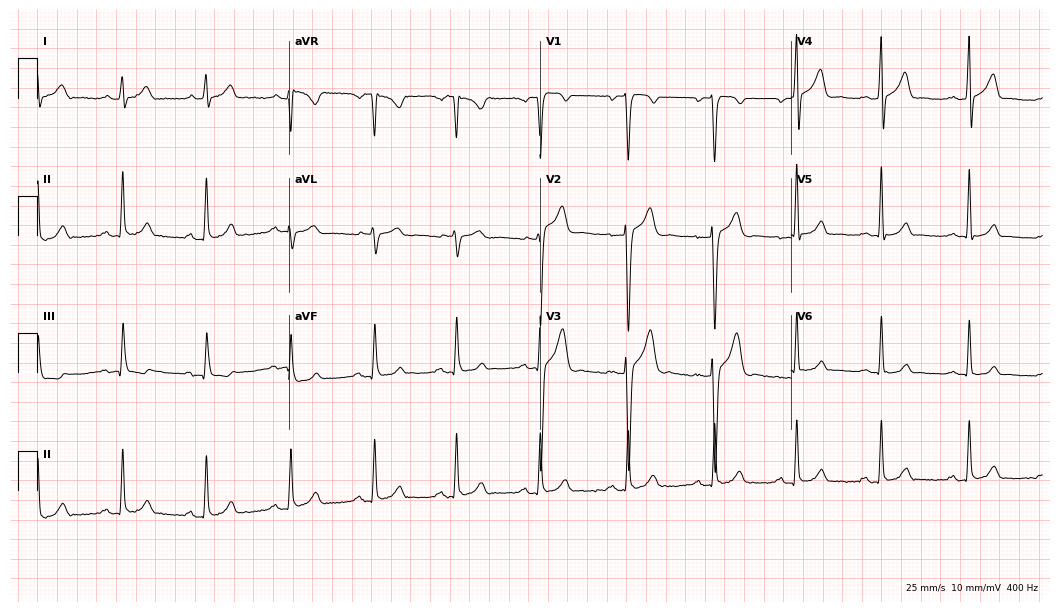
Resting 12-lead electrocardiogram (10.2-second recording at 400 Hz). Patient: a 26-year-old male. None of these six findings is recorded: first-degree AV block, right bundle branch block, left bundle branch block, sinus bradycardia, atrial fibrillation, sinus tachycardia.